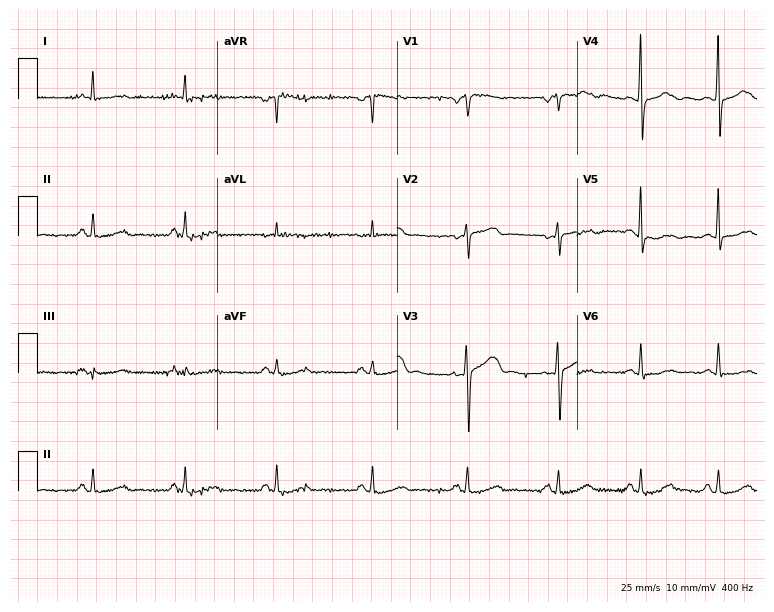
12-lead ECG from a 44-year-old female (7.3-second recording at 400 Hz). No first-degree AV block, right bundle branch block, left bundle branch block, sinus bradycardia, atrial fibrillation or sinus tachycardia recorded for this tracing.